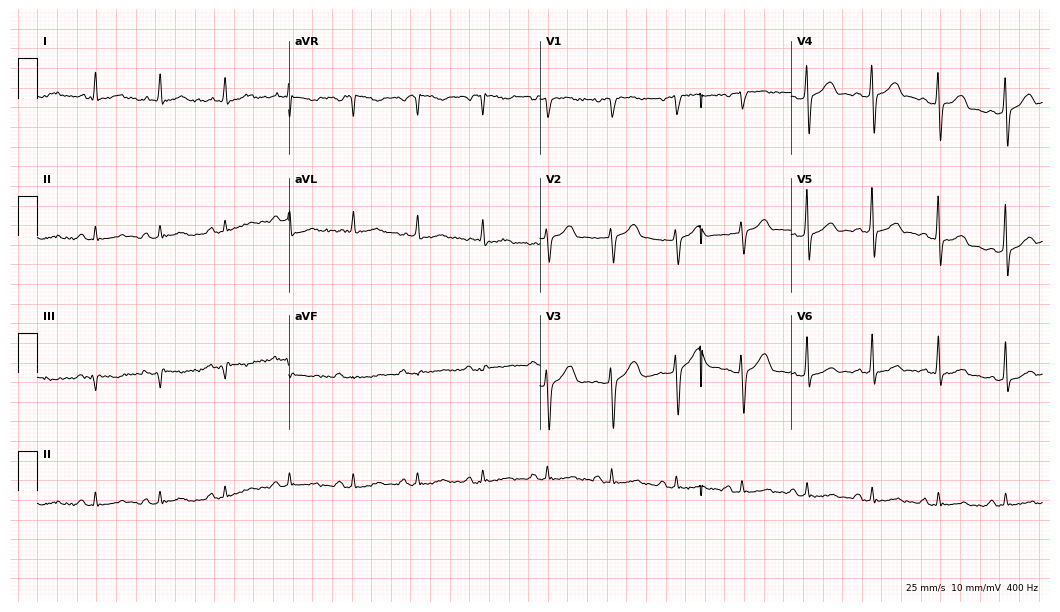
Electrocardiogram, a 50-year-old male patient. Overall reading on record: normal ECG.